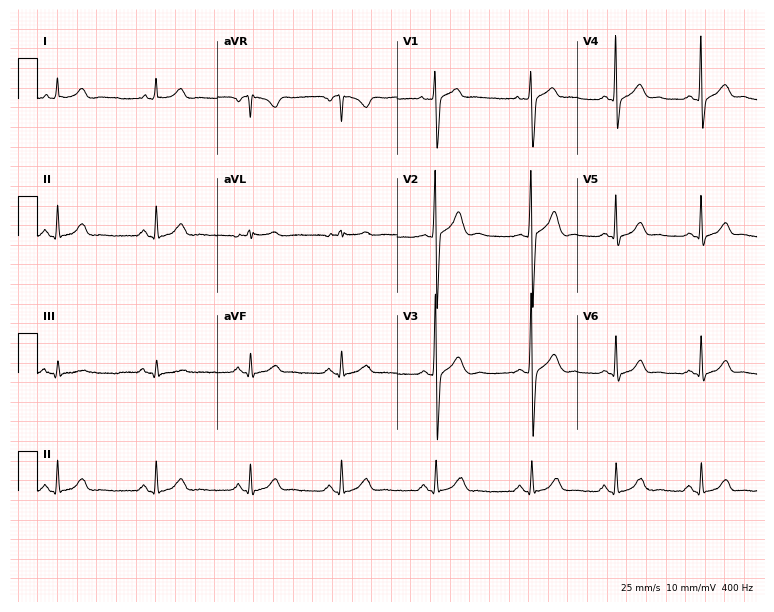
12-lead ECG from a 27-year-old man. Labelled as a normal ECG.